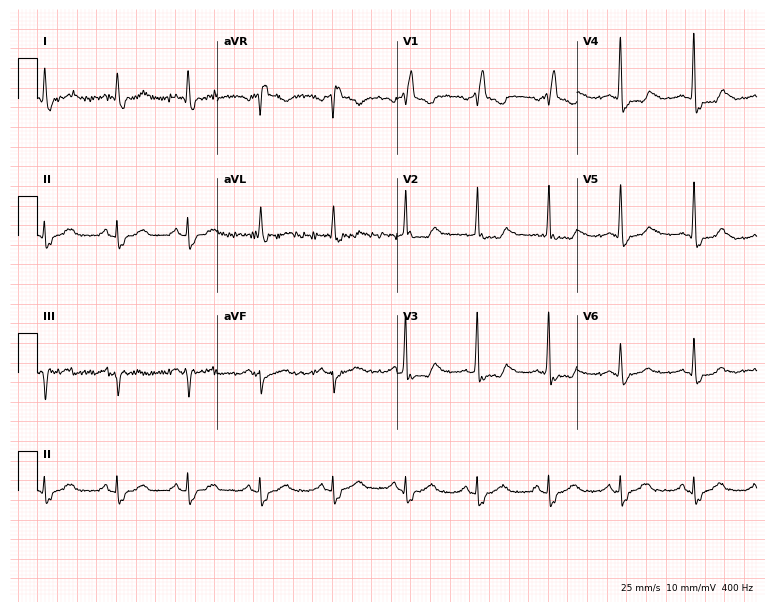
Standard 12-lead ECG recorded from a man, 85 years old (7.3-second recording at 400 Hz). The tracing shows right bundle branch block (RBBB).